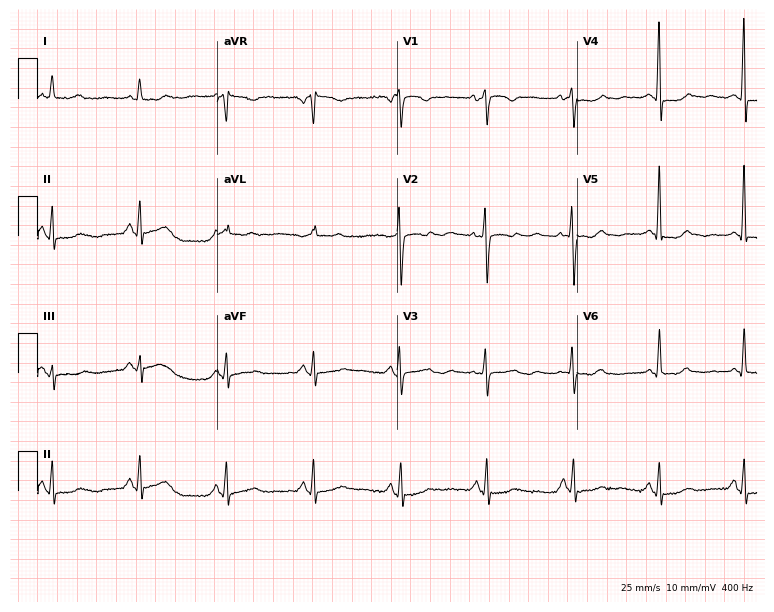
Resting 12-lead electrocardiogram. Patient: a female, 57 years old. None of these six findings is recorded: first-degree AV block, right bundle branch block, left bundle branch block, sinus bradycardia, atrial fibrillation, sinus tachycardia.